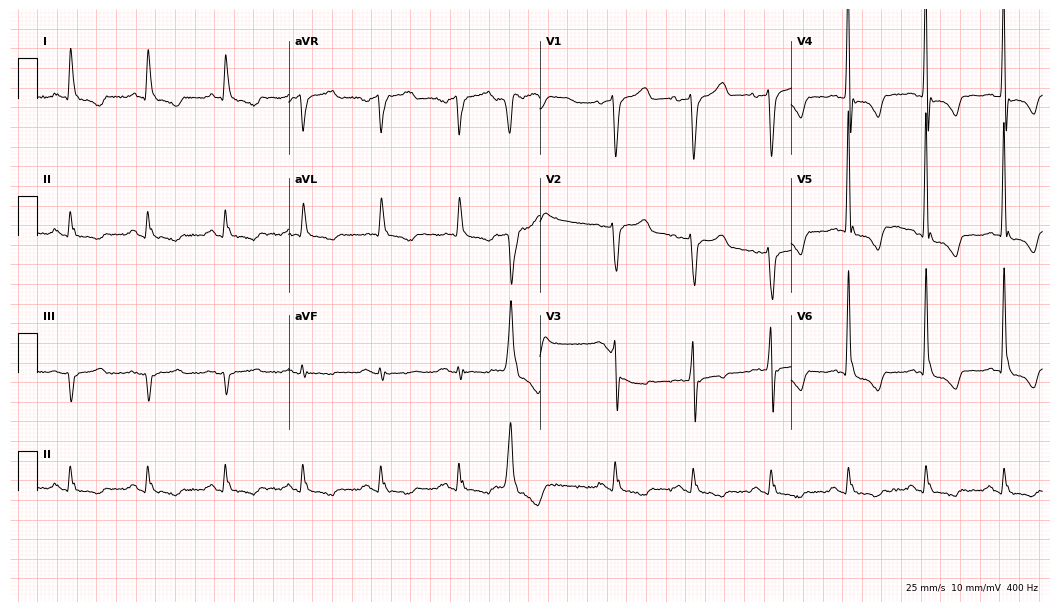
Resting 12-lead electrocardiogram. Patient: a man, 85 years old. None of these six findings is recorded: first-degree AV block, right bundle branch block, left bundle branch block, sinus bradycardia, atrial fibrillation, sinus tachycardia. Findings outside these six are not listed.